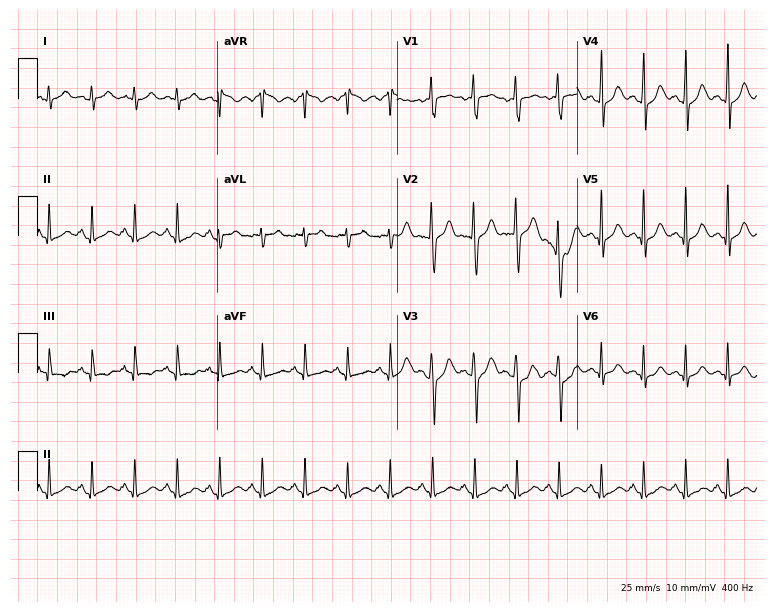
12-lead ECG from a 30-year-old female patient. Findings include sinus tachycardia (a sinus rate of 100 beats per minute or more).